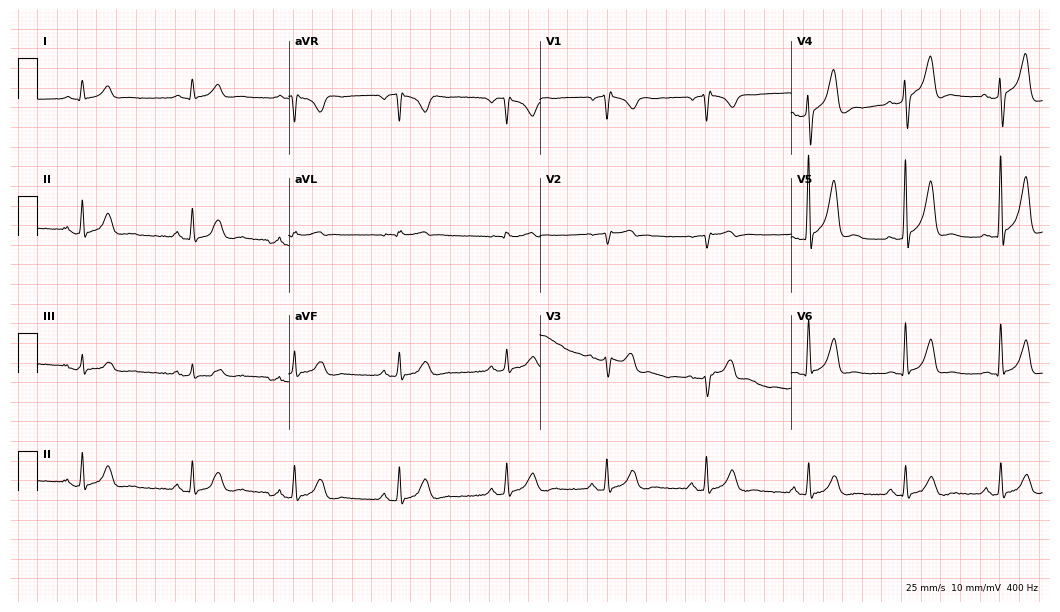
12-lead ECG from a 54-year-old man (10.2-second recording at 400 Hz). No first-degree AV block, right bundle branch block (RBBB), left bundle branch block (LBBB), sinus bradycardia, atrial fibrillation (AF) or sinus tachycardia recorded for this tracing.